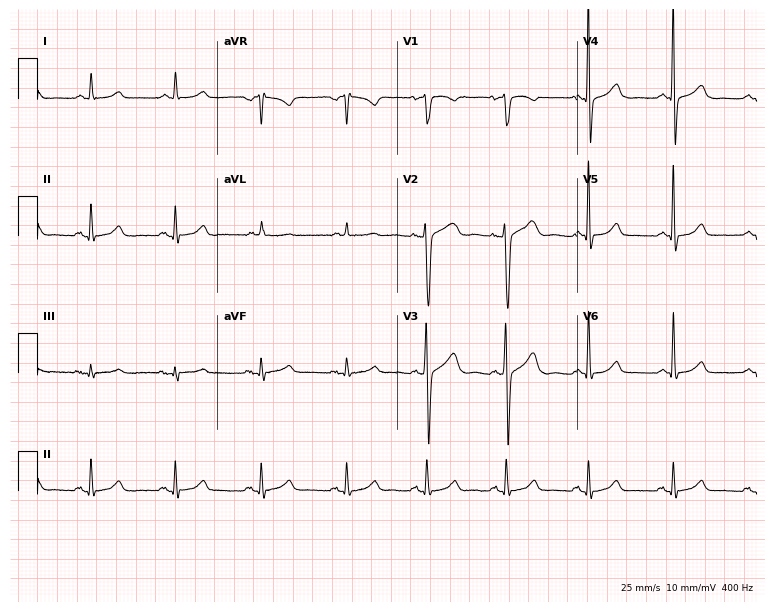
Standard 12-lead ECG recorded from a female patient, 65 years old. Read as a normal ECG.